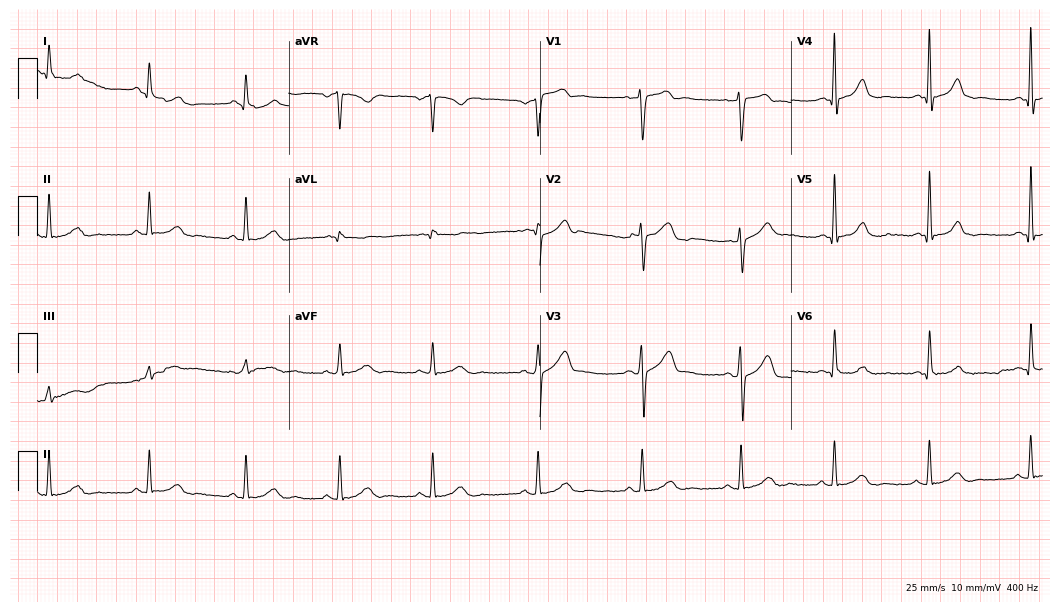
ECG — a male patient, 44 years old. Labelled as a normal ECG.